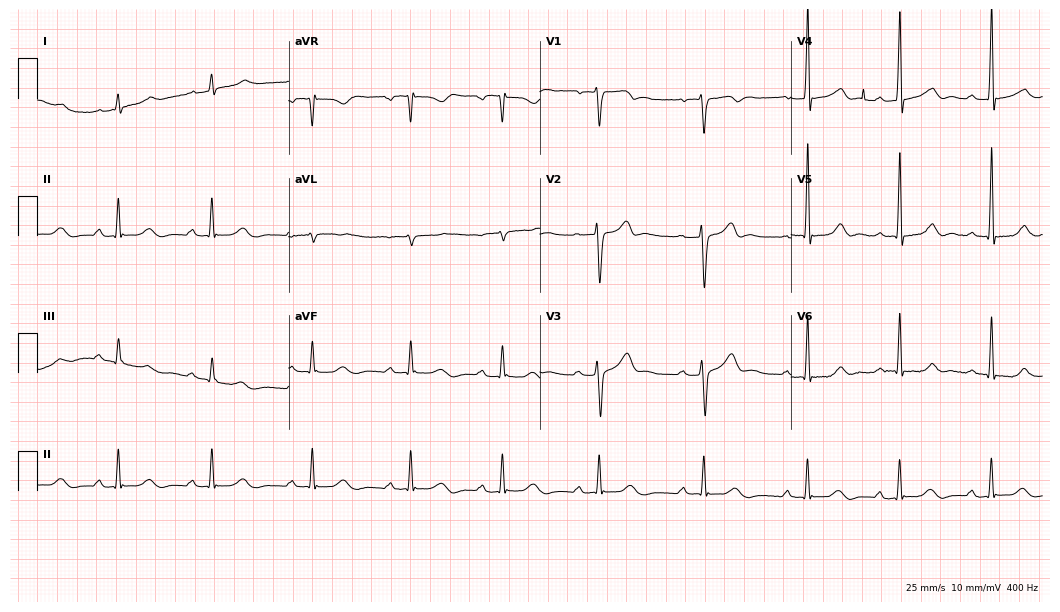
12-lead ECG (10.2-second recording at 400 Hz) from a male patient, 31 years old. Findings include first-degree AV block.